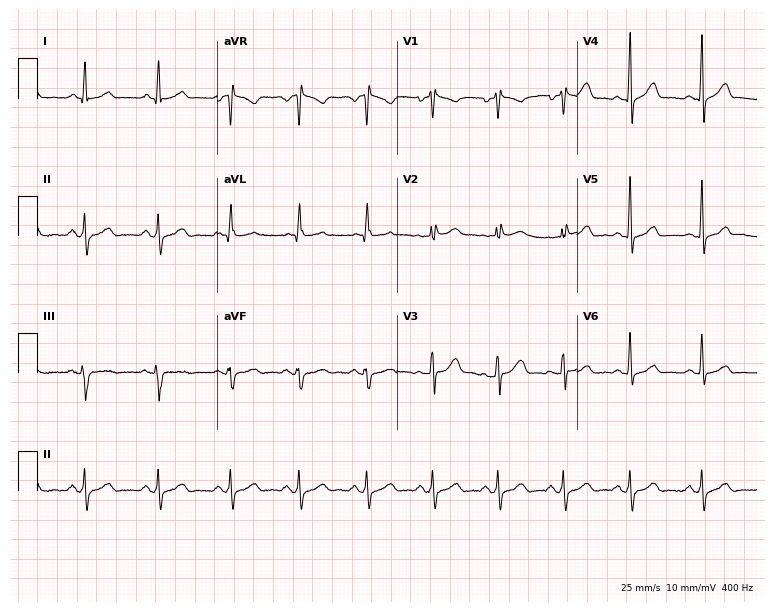
12-lead ECG from a man, 40 years old (7.3-second recording at 400 Hz). Recorded interpretation: within normal limits.